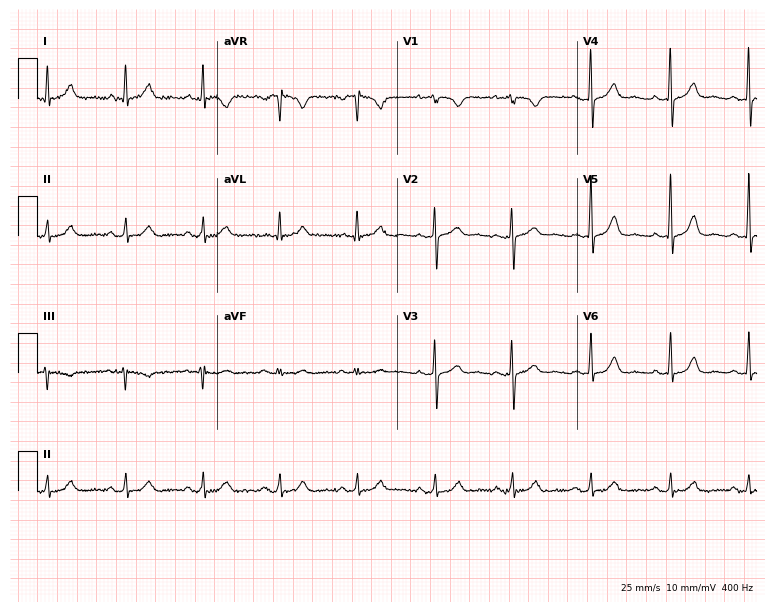
Standard 12-lead ECG recorded from a 57-year-old female patient. None of these six findings is recorded: first-degree AV block, right bundle branch block (RBBB), left bundle branch block (LBBB), sinus bradycardia, atrial fibrillation (AF), sinus tachycardia. Findings outside these six are not listed.